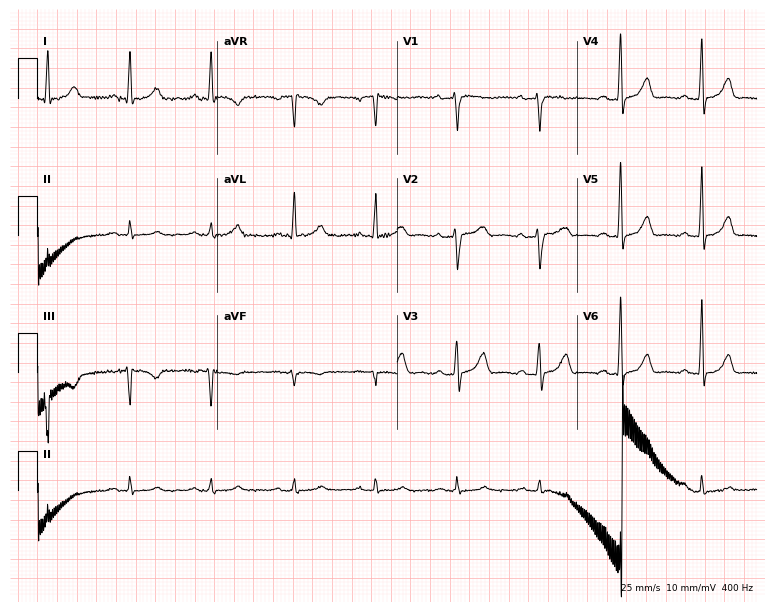
ECG — a female, 54 years old. Screened for six findings — first-degree AV block, right bundle branch block, left bundle branch block, sinus bradycardia, atrial fibrillation, sinus tachycardia — none is recorded.